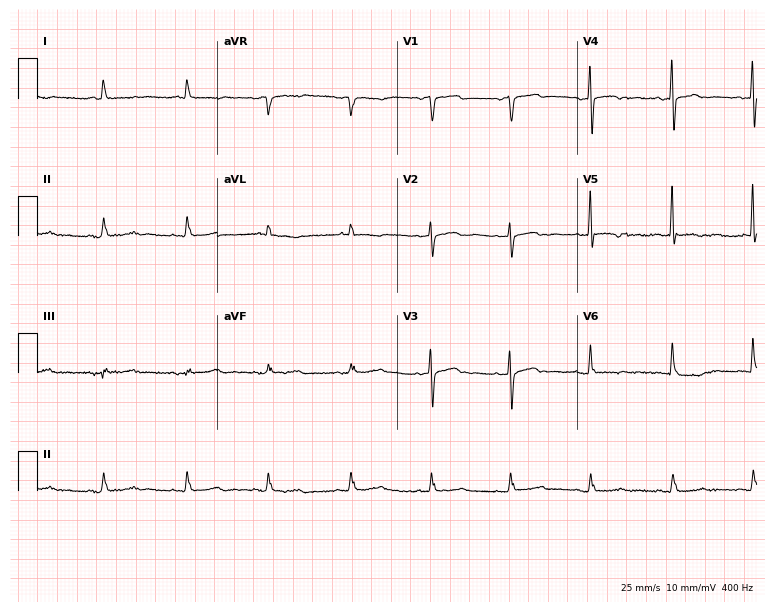
Electrocardiogram, a 79-year-old female. Of the six screened findings (first-degree AV block, right bundle branch block, left bundle branch block, sinus bradycardia, atrial fibrillation, sinus tachycardia), none is recorded. Other findings, if any, are not listed.